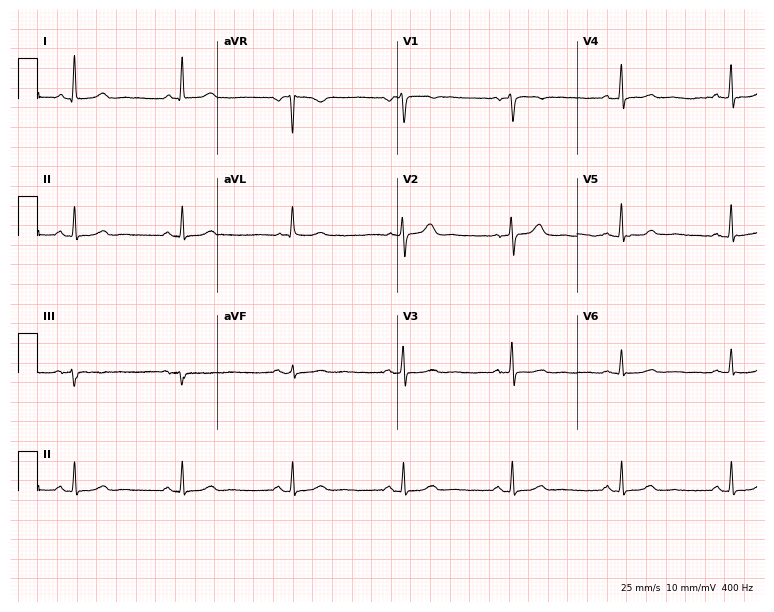
Resting 12-lead electrocardiogram (7.3-second recording at 400 Hz). Patient: a female, 71 years old. Read as a normal ECG.